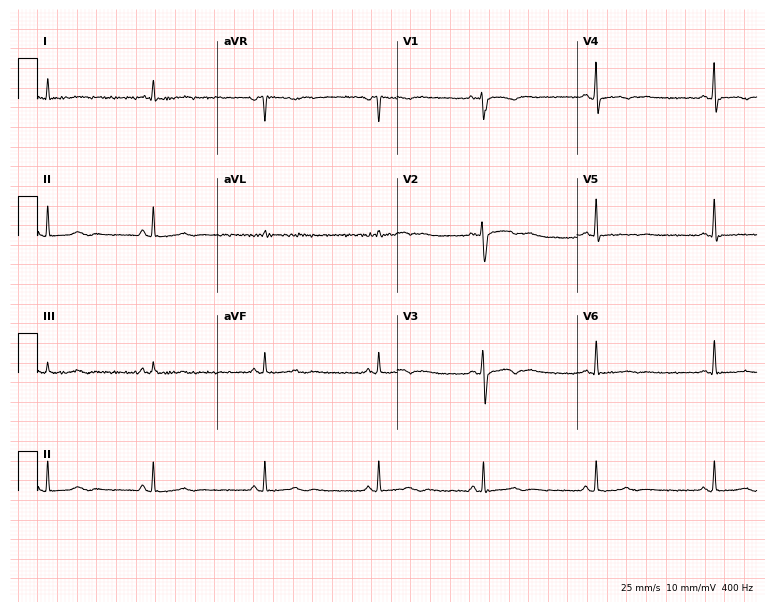
ECG — a woman, 37 years old. Screened for six findings — first-degree AV block, right bundle branch block, left bundle branch block, sinus bradycardia, atrial fibrillation, sinus tachycardia — none is recorded.